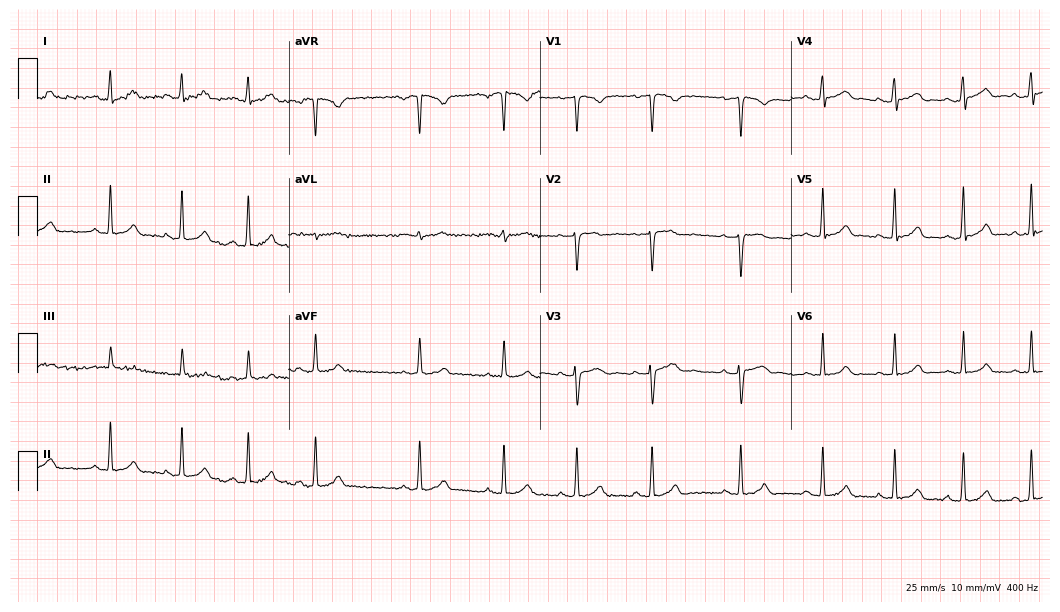
Electrocardiogram, a female patient, 29 years old. Overall reading on record: normal ECG.